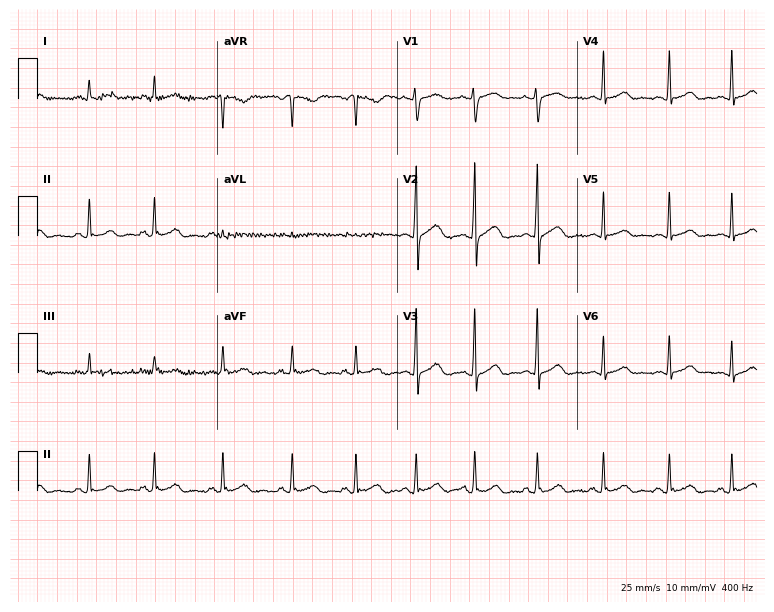
12-lead ECG from a 29-year-old female. No first-degree AV block, right bundle branch block, left bundle branch block, sinus bradycardia, atrial fibrillation or sinus tachycardia recorded for this tracing.